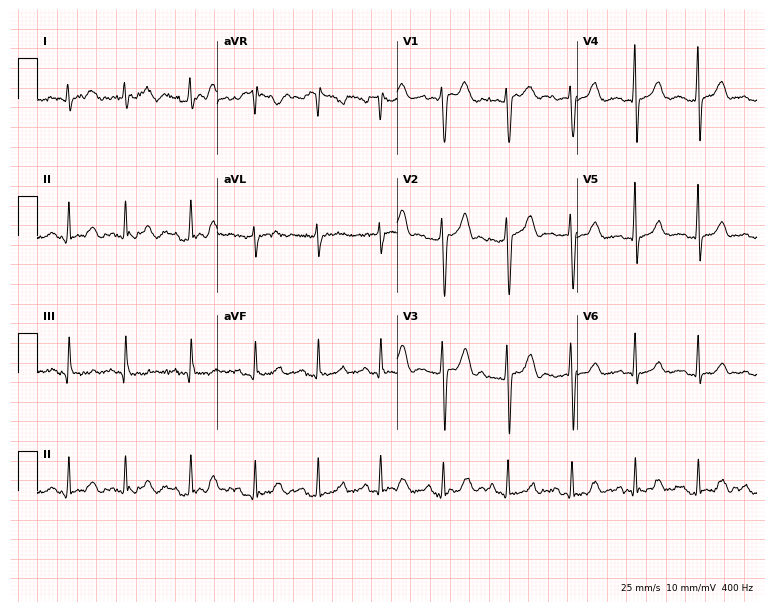
Resting 12-lead electrocardiogram (7.3-second recording at 400 Hz). Patient: a 48-year-old female. None of these six findings is recorded: first-degree AV block, right bundle branch block, left bundle branch block, sinus bradycardia, atrial fibrillation, sinus tachycardia.